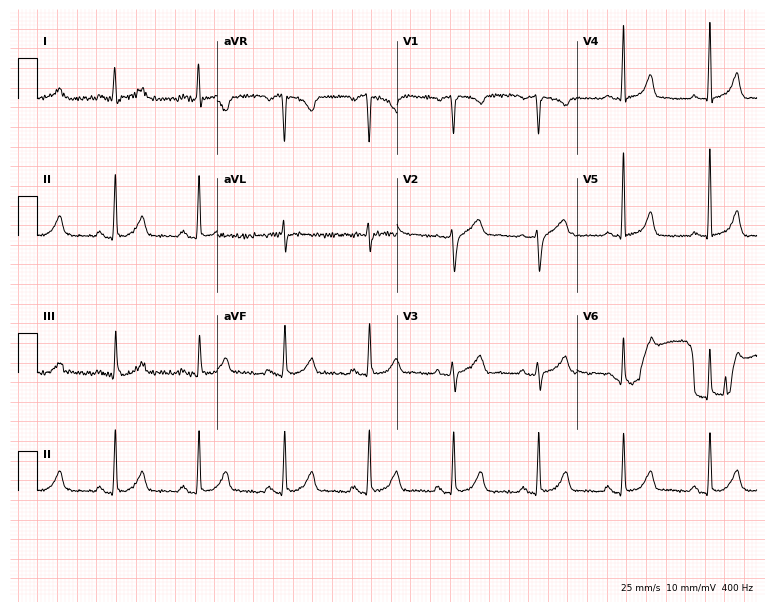
12-lead ECG from a male patient, 66 years old. Recorded interpretation: within normal limits.